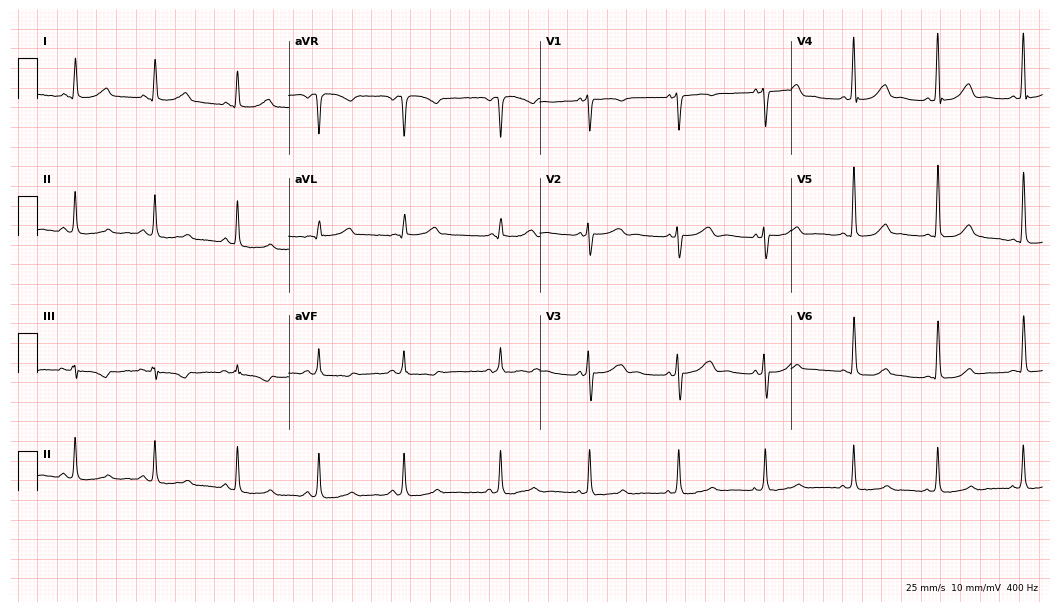
Standard 12-lead ECG recorded from a female patient, 55 years old (10.2-second recording at 400 Hz). None of these six findings is recorded: first-degree AV block, right bundle branch block, left bundle branch block, sinus bradycardia, atrial fibrillation, sinus tachycardia.